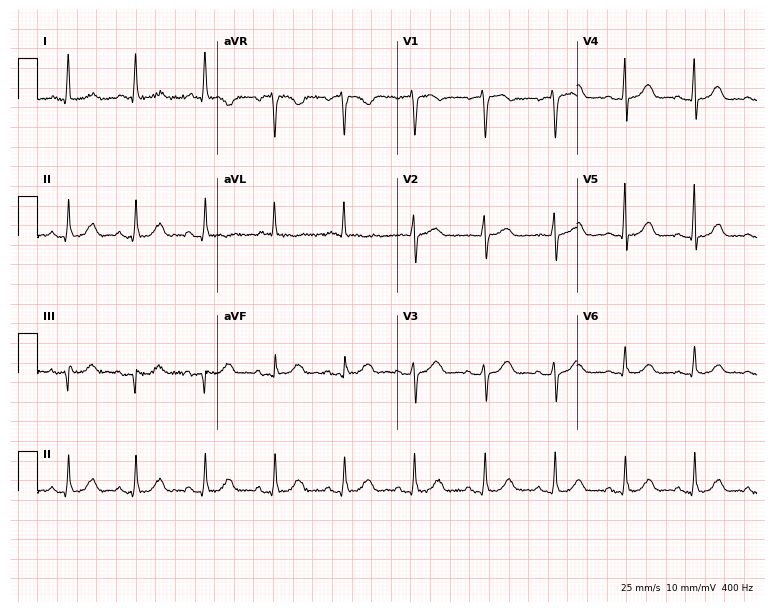
ECG — a 79-year-old female patient. Labelled as a normal ECG.